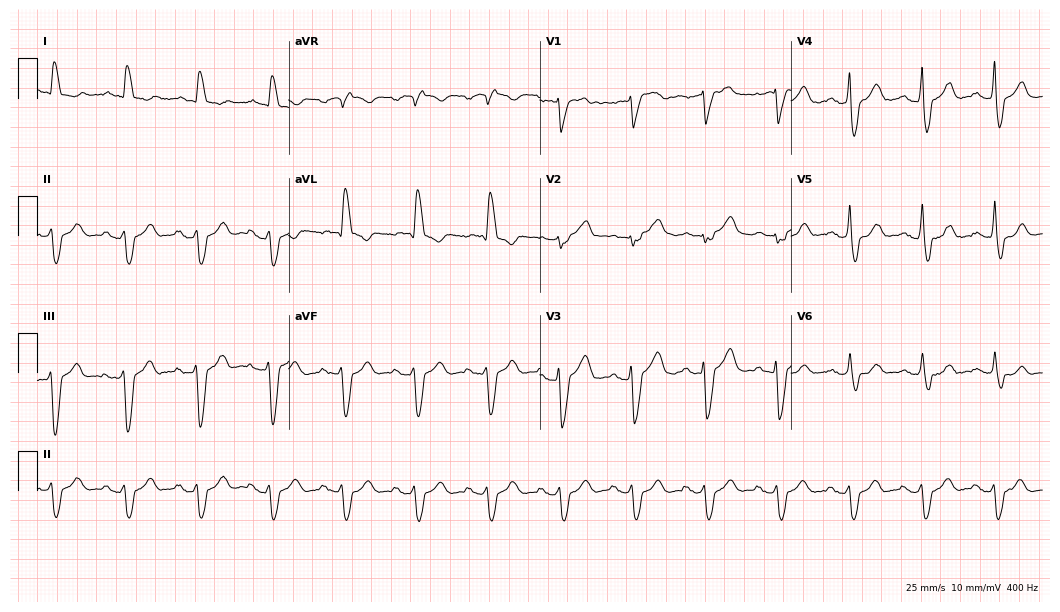
12-lead ECG from an 82-year-old man (10.2-second recording at 400 Hz). Shows left bundle branch block.